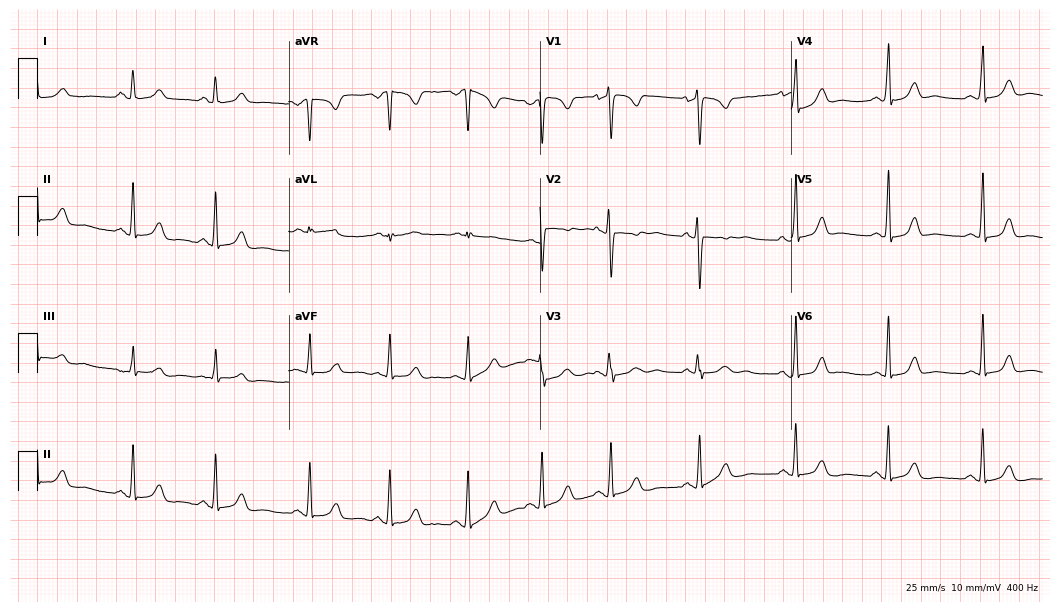
ECG (10.2-second recording at 400 Hz) — a 25-year-old female. Screened for six findings — first-degree AV block, right bundle branch block, left bundle branch block, sinus bradycardia, atrial fibrillation, sinus tachycardia — none is recorded. Findings outside these six are not listed.